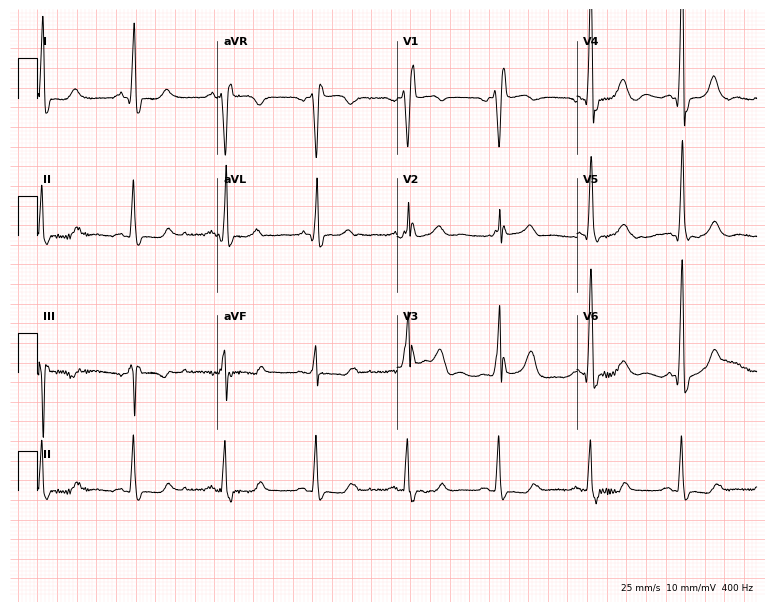
12-lead ECG from a 76-year-old man. Screened for six findings — first-degree AV block, right bundle branch block (RBBB), left bundle branch block (LBBB), sinus bradycardia, atrial fibrillation (AF), sinus tachycardia — none is recorded. Only these six findings were labelled.